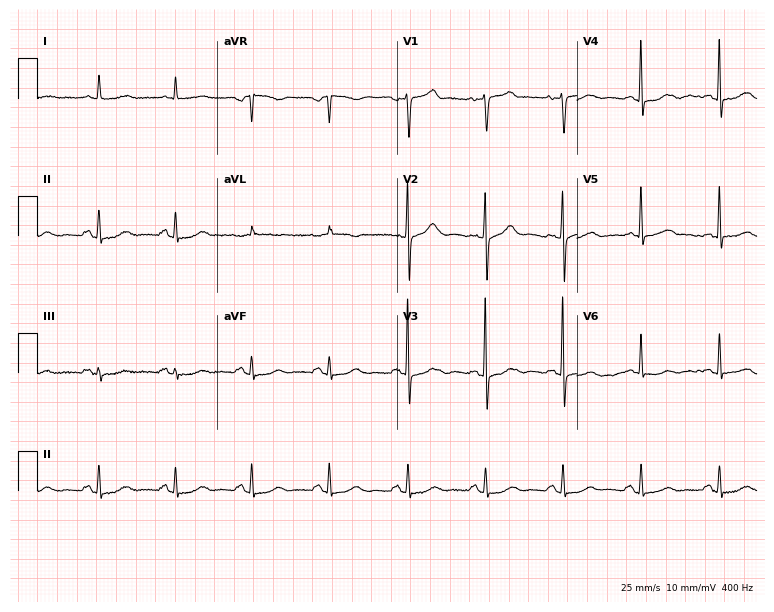
Resting 12-lead electrocardiogram (7.3-second recording at 400 Hz). Patient: a 79-year-old female. None of these six findings is recorded: first-degree AV block, right bundle branch block, left bundle branch block, sinus bradycardia, atrial fibrillation, sinus tachycardia. Only these six findings were labelled.